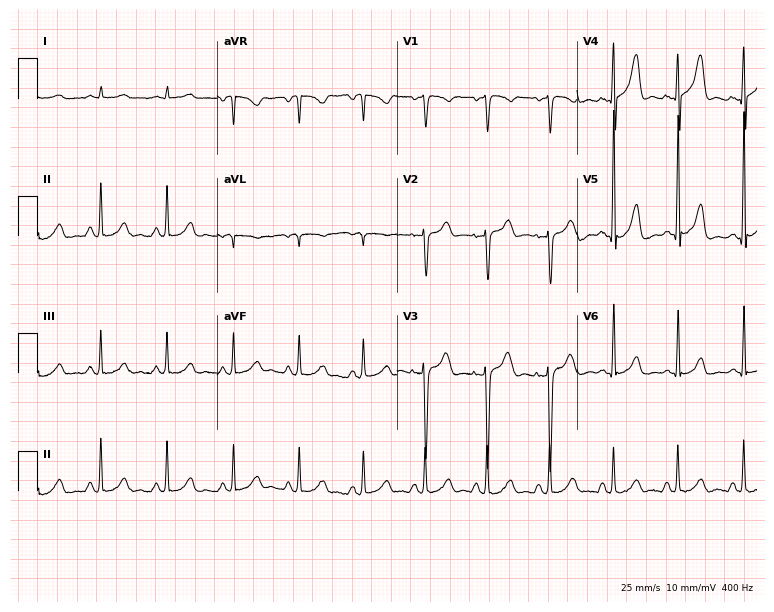
12-lead ECG from a male patient, 46 years old. Screened for six findings — first-degree AV block, right bundle branch block, left bundle branch block, sinus bradycardia, atrial fibrillation, sinus tachycardia — none is recorded. Findings outside these six are not listed.